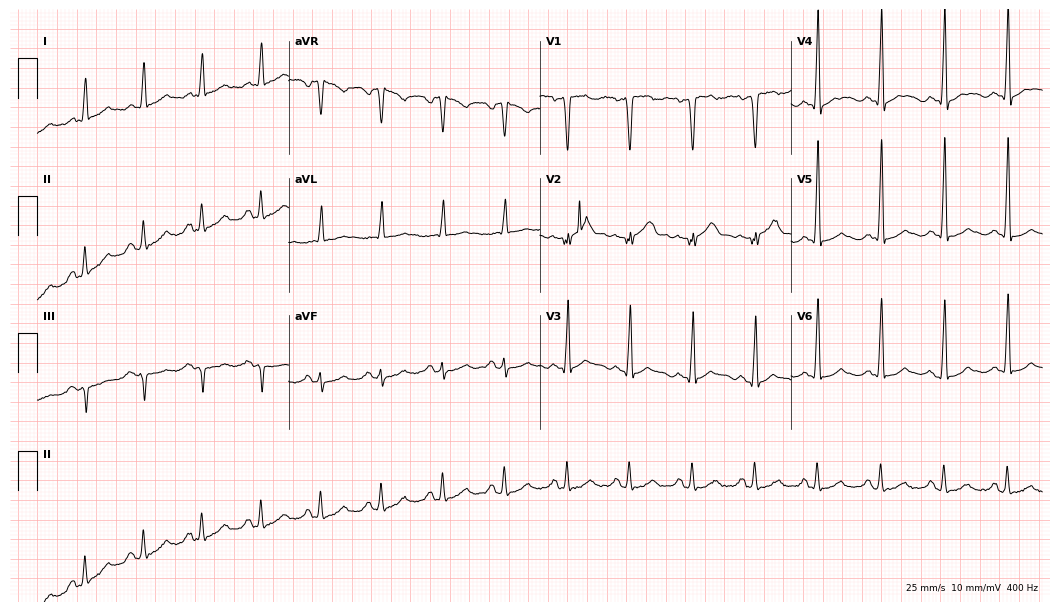
12-lead ECG (10.2-second recording at 400 Hz) from a 58-year-old male. Screened for six findings — first-degree AV block, right bundle branch block, left bundle branch block, sinus bradycardia, atrial fibrillation, sinus tachycardia — none is recorded. Other findings, if any, are not listed.